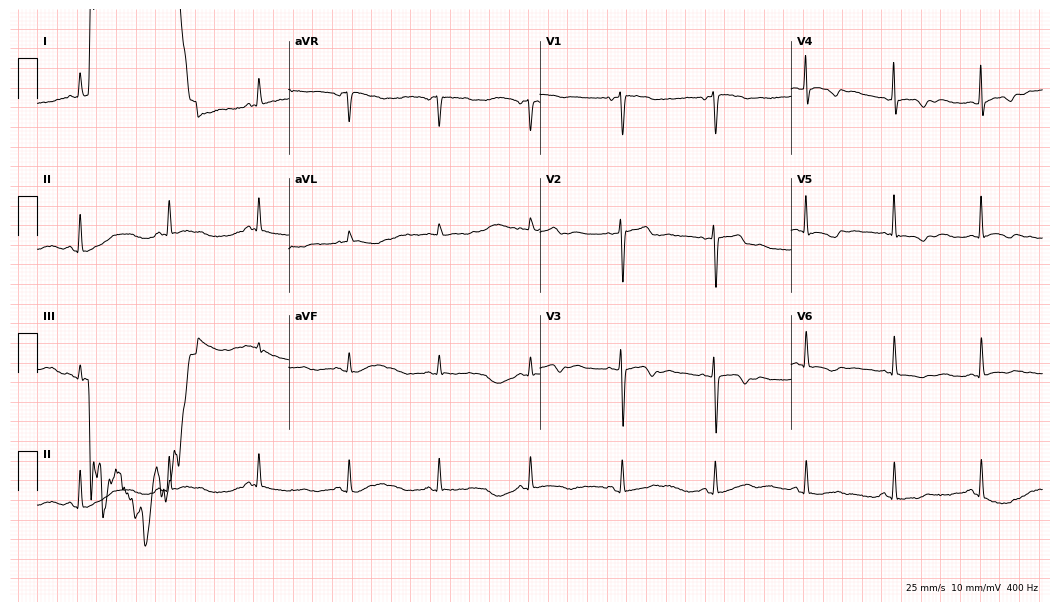
Electrocardiogram, a female, 61 years old. Of the six screened findings (first-degree AV block, right bundle branch block, left bundle branch block, sinus bradycardia, atrial fibrillation, sinus tachycardia), none is recorded. Other findings, if any, are not listed.